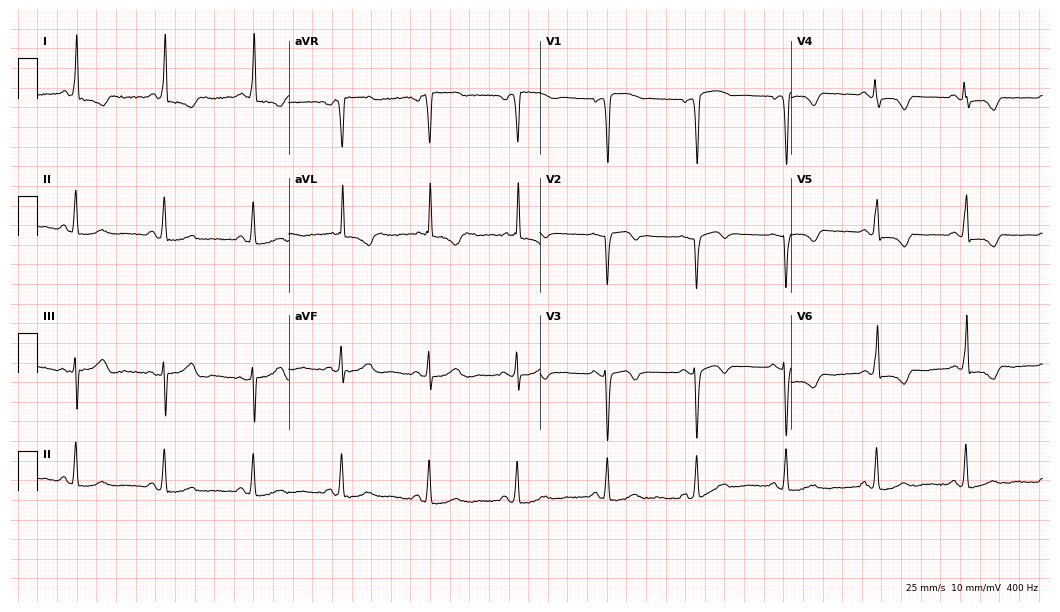
12-lead ECG from a woman, 66 years old. No first-degree AV block, right bundle branch block (RBBB), left bundle branch block (LBBB), sinus bradycardia, atrial fibrillation (AF) or sinus tachycardia recorded for this tracing. Other findings, if any, are not listed.